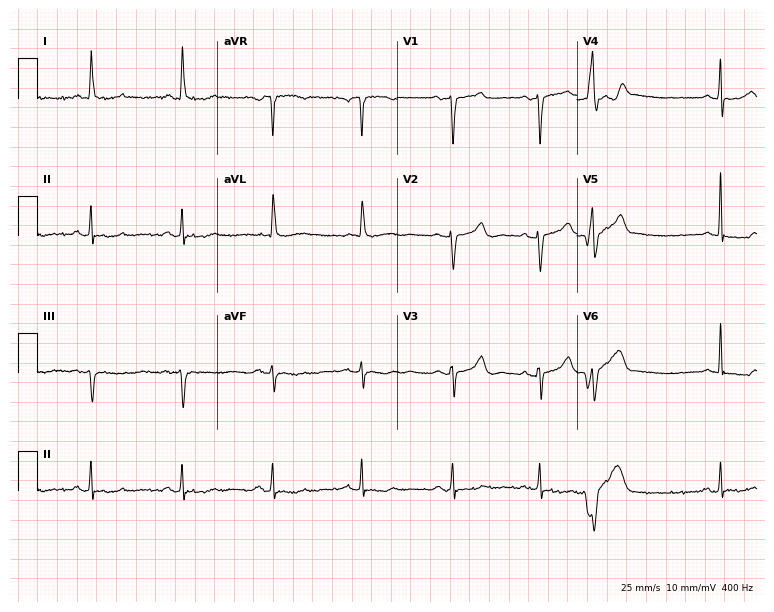
Electrocardiogram (7.3-second recording at 400 Hz), a 57-year-old female patient. Of the six screened findings (first-degree AV block, right bundle branch block (RBBB), left bundle branch block (LBBB), sinus bradycardia, atrial fibrillation (AF), sinus tachycardia), none is recorded. Only these six findings were labelled.